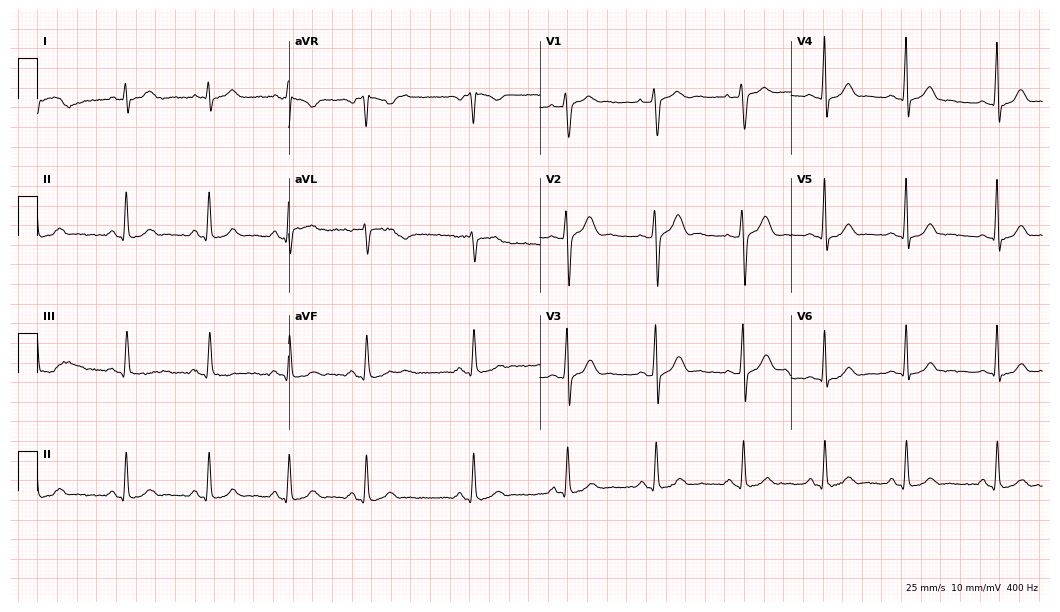
Electrocardiogram (10.2-second recording at 400 Hz), a 29-year-old male patient. Overall reading on record: normal ECG.